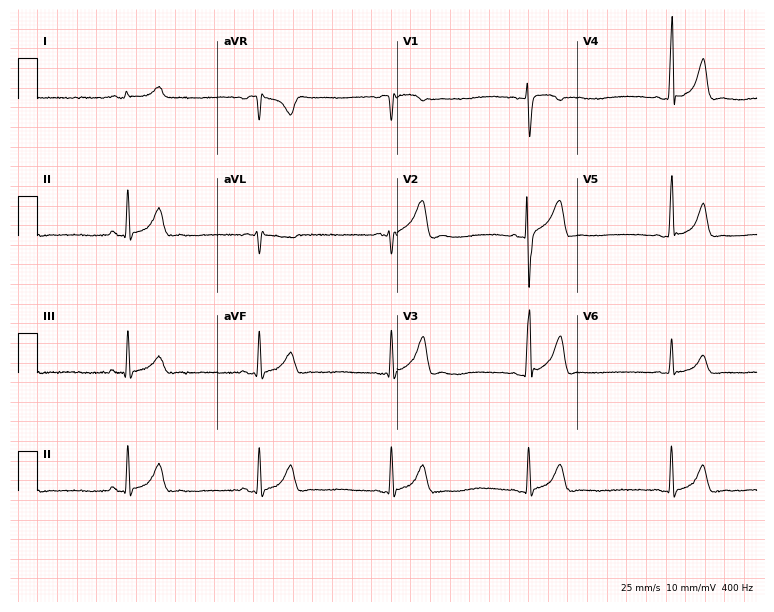
12-lead ECG from a 20-year-old man (7.3-second recording at 400 Hz). Shows sinus bradycardia (a sinus rate of 50 beats per minute or less).